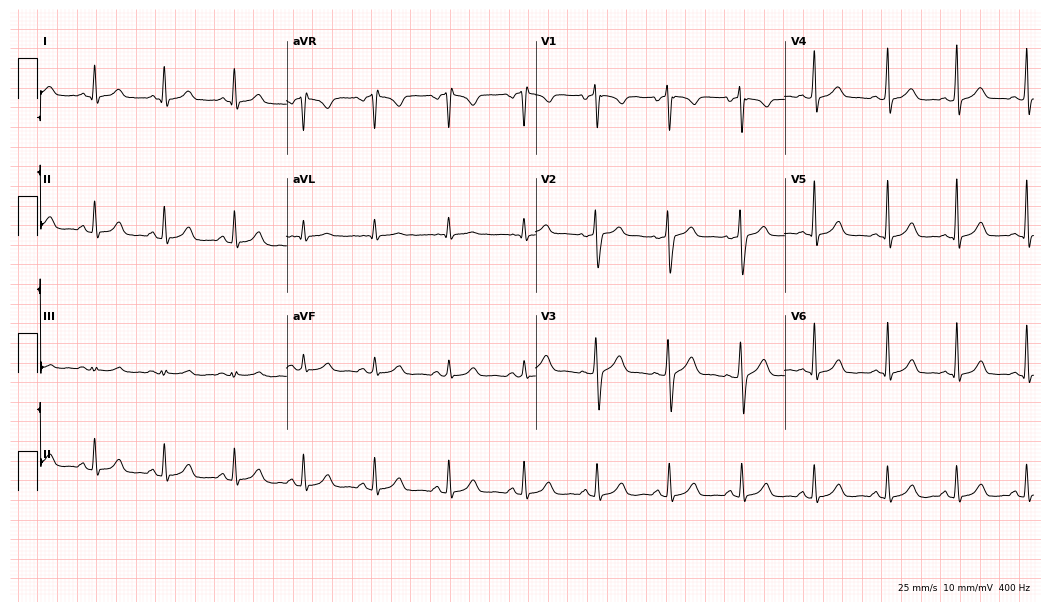
Standard 12-lead ECG recorded from a 39-year-old woman (10.2-second recording at 400 Hz). Read as a normal ECG.